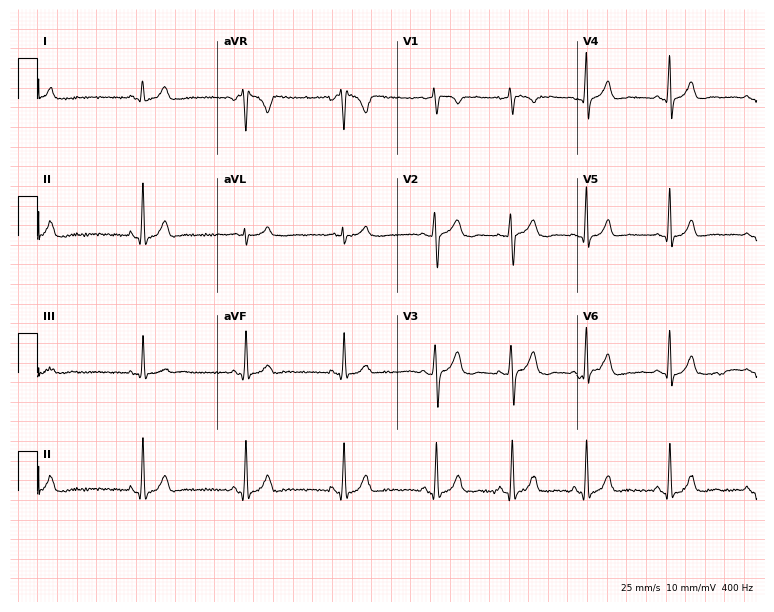
Electrocardiogram (7.3-second recording at 400 Hz), a 21-year-old female patient. Of the six screened findings (first-degree AV block, right bundle branch block (RBBB), left bundle branch block (LBBB), sinus bradycardia, atrial fibrillation (AF), sinus tachycardia), none is recorded. Findings outside these six are not listed.